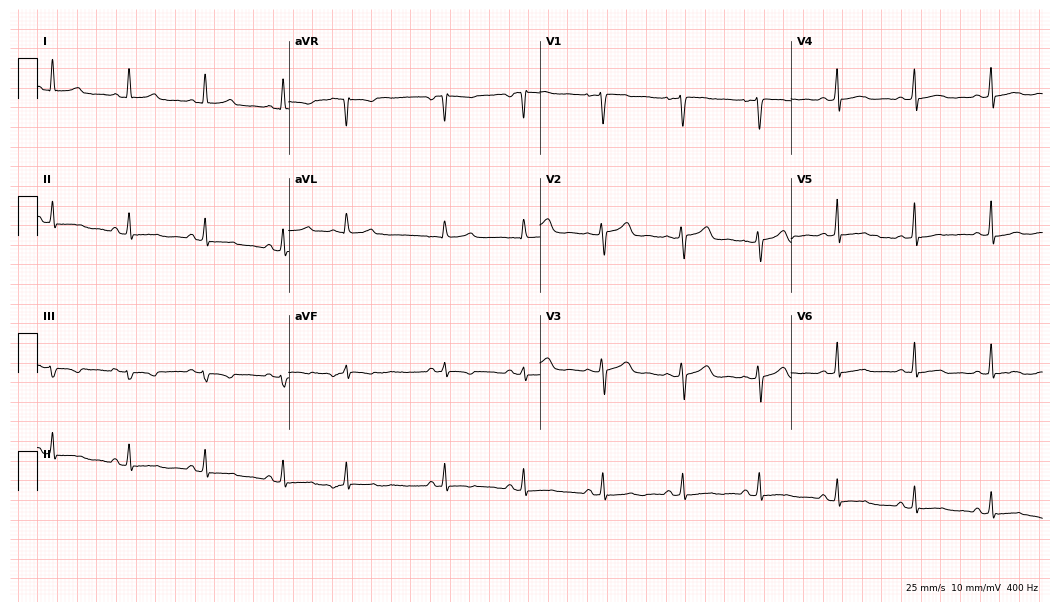
Resting 12-lead electrocardiogram (10.2-second recording at 400 Hz). Patient: a 38-year-old female. None of these six findings is recorded: first-degree AV block, right bundle branch block (RBBB), left bundle branch block (LBBB), sinus bradycardia, atrial fibrillation (AF), sinus tachycardia. Findings outside these six are not listed.